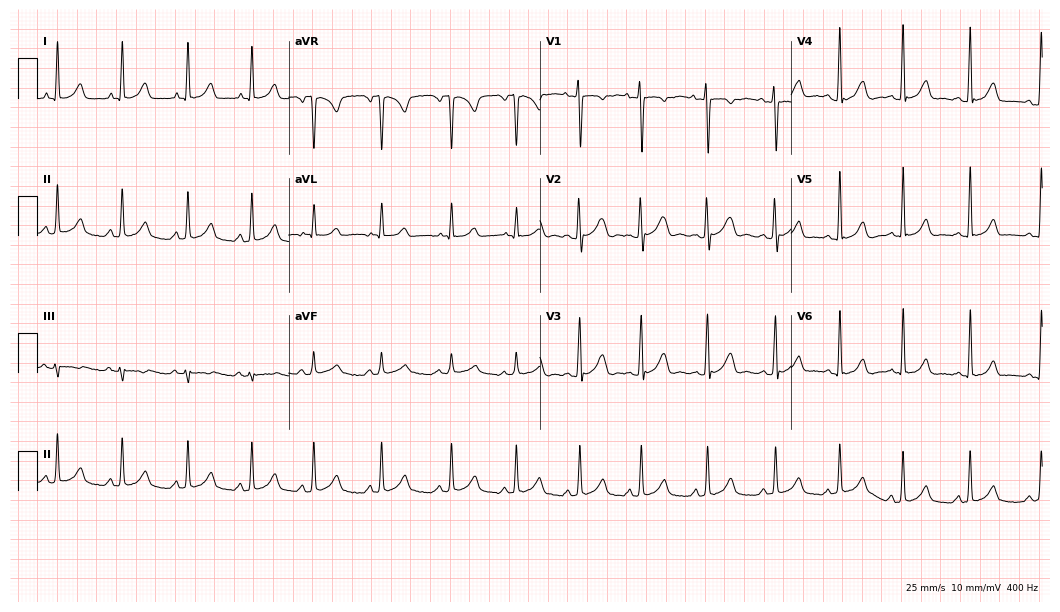
12-lead ECG (10.2-second recording at 400 Hz) from a 20-year-old female. Screened for six findings — first-degree AV block, right bundle branch block, left bundle branch block, sinus bradycardia, atrial fibrillation, sinus tachycardia — none is recorded.